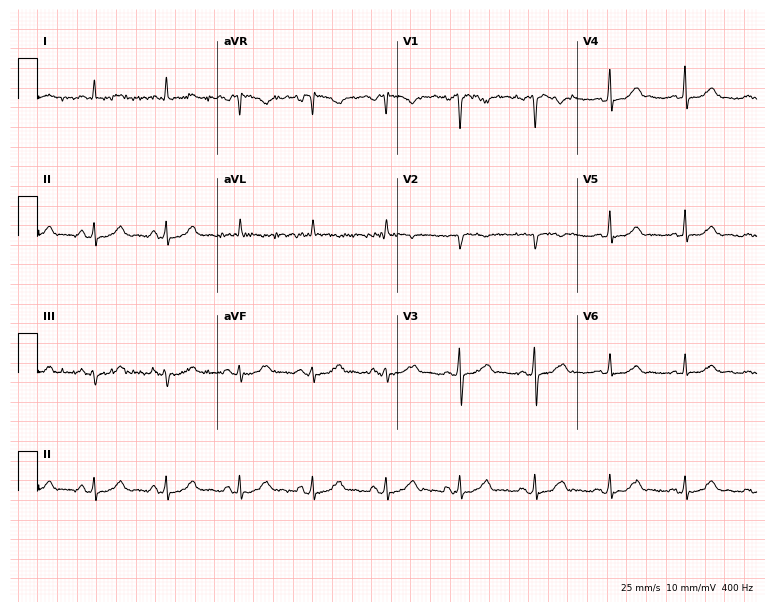
Resting 12-lead electrocardiogram. Patient: a 35-year-old woman. Read as a normal ECG.